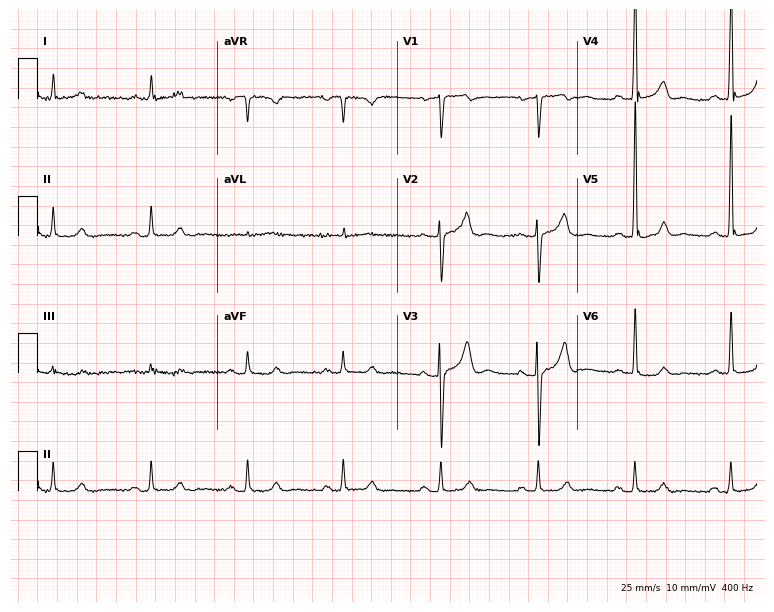
Standard 12-lead ECG recorded from a 75-year-old man. None of these six findings is recorded: first-degree AV block, right bundle branch block (RBBB), left bundle branch block (LBBB), sinus bradycardia, atrial fibrillation (AF), sinus tachycardia.